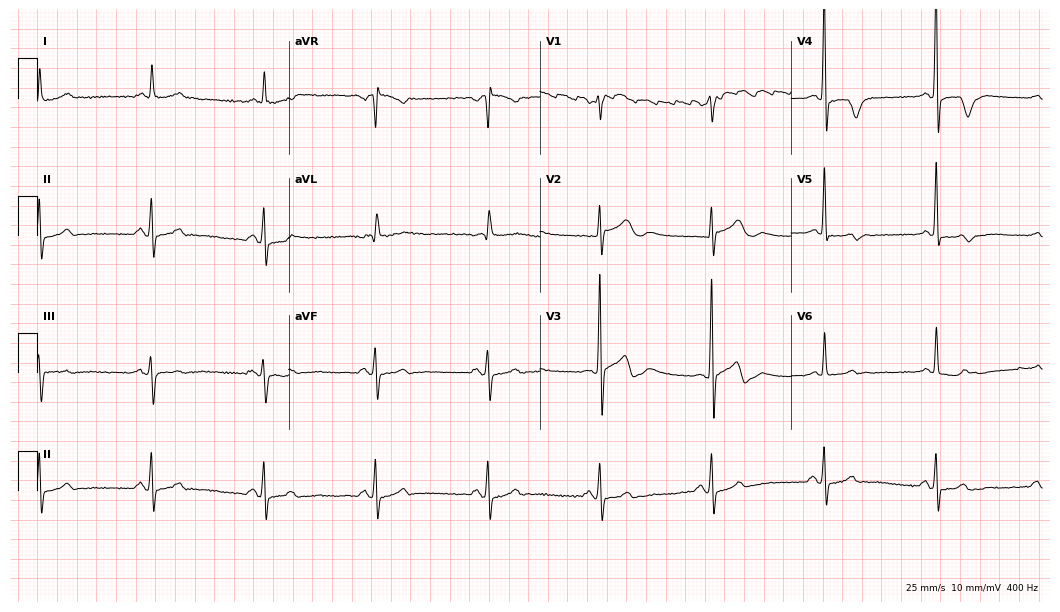
12-lead ECG from a male, 81 years old. Screened for six findings — first-degree AV block, right bundle branch block, left bundle branch block, sinus bradycardia, atrial fibrillation, sinus tachycardia — none is recorded. Findings outside these six are not listed.